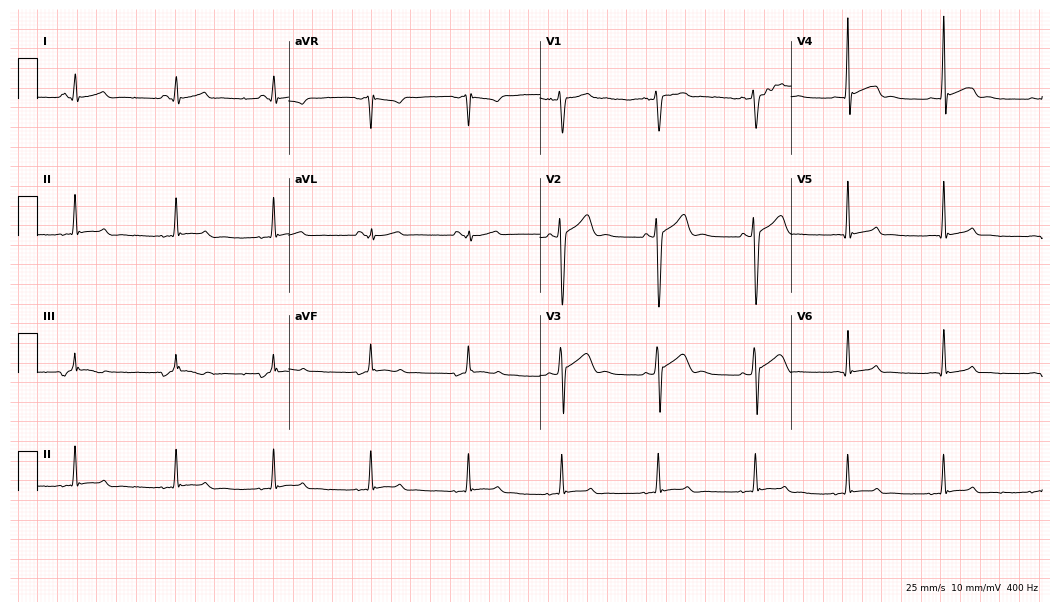
12-lead ECG (10.2-second recording at 400 Hz) from a 19-year-old man. Labelled as a normal ECG.